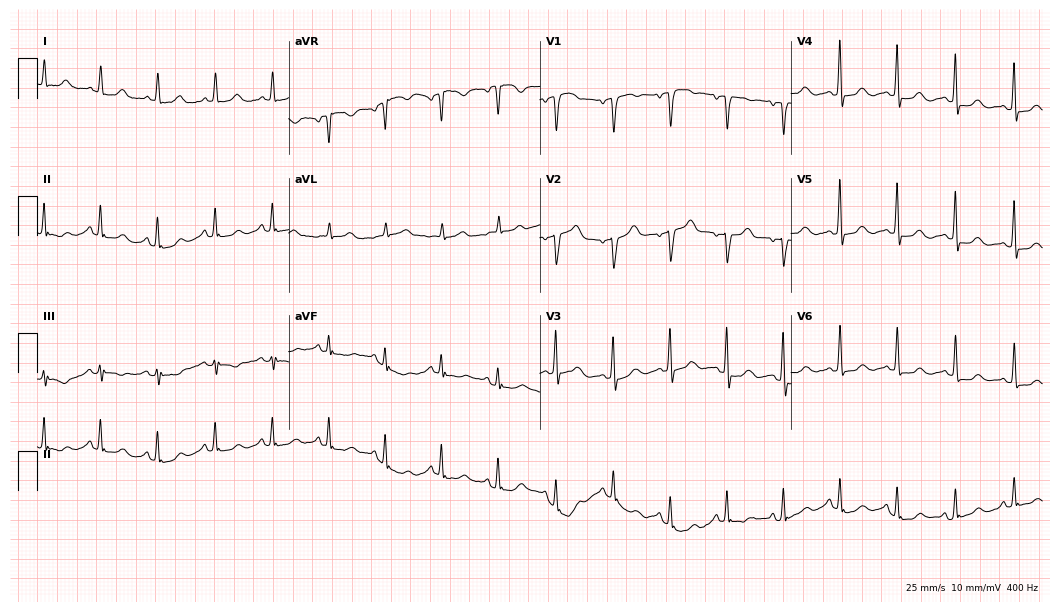
Electrocardiogram (10.2-second recording at 400 Hz), a woman, 58 years old. Overall reading on record: normal ECG.